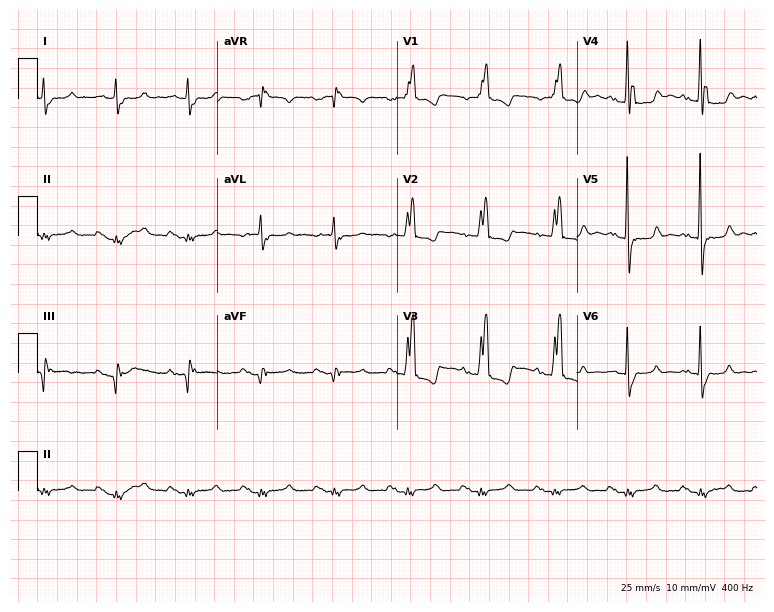
12-lead ECG from a male patient, 72 years old. No first-degree AV block, right bundle branch block, left bundle branch block, sinus bradycardia, atrial fibrillation or sinus tachycardia recorded for this tracing.